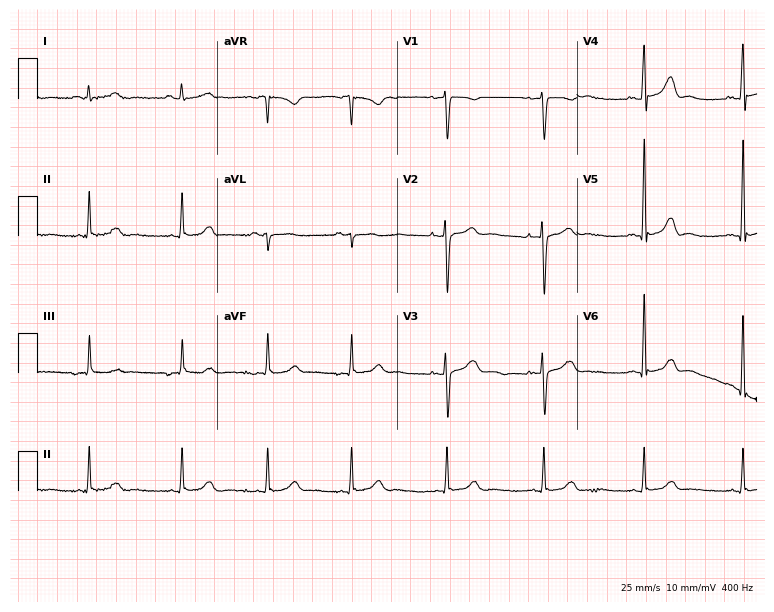
12-lead ECG from a 38-year-old female patient. No first-degree AV block, right bundle branch block (RBBB), left bundle branch block (LBBB), sinus bradycardia, atrial fibrillation (AF) or sinus tachycardia recorded for this tracing. Findings outside these six are not listed.